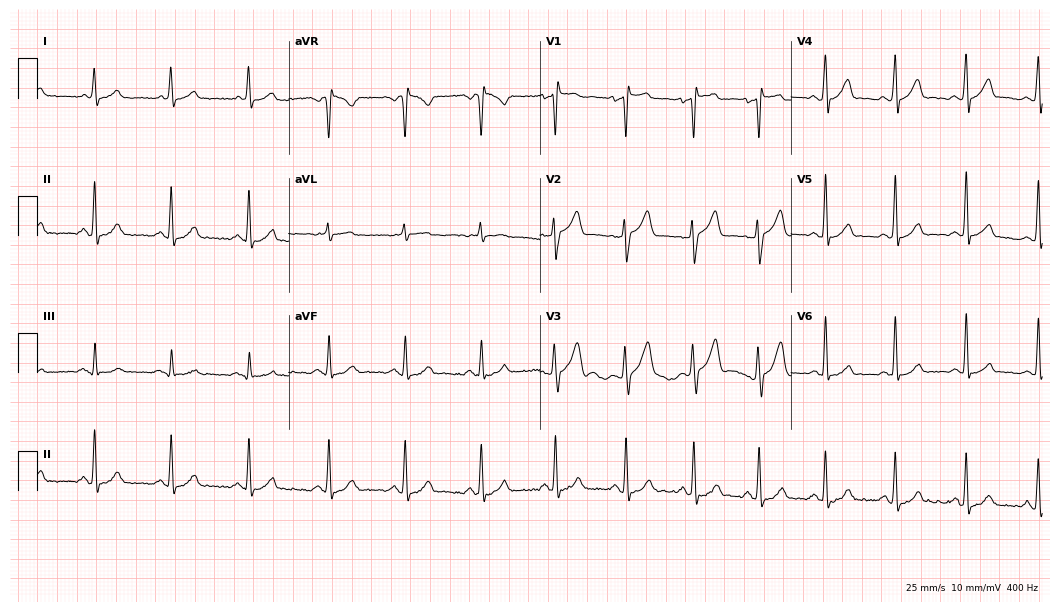
Electrocardiogram (10.2-second recording at 400 Hz), a 48-year-old male patient. Of the six screened findings (first-degree AV block, right bundle branch block, left bundle branch block, sinus bradycardia, atrial fibrillation, sinus tachycardia), none is recorded.